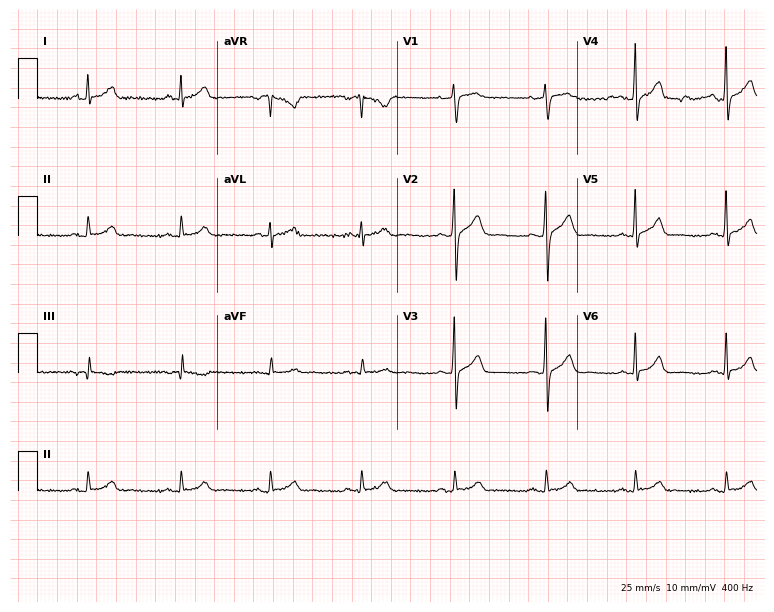
12-lead ECG (7.3-second recording at 400 Hz) from a man, 35 years old. Labelled as a normal ECG.